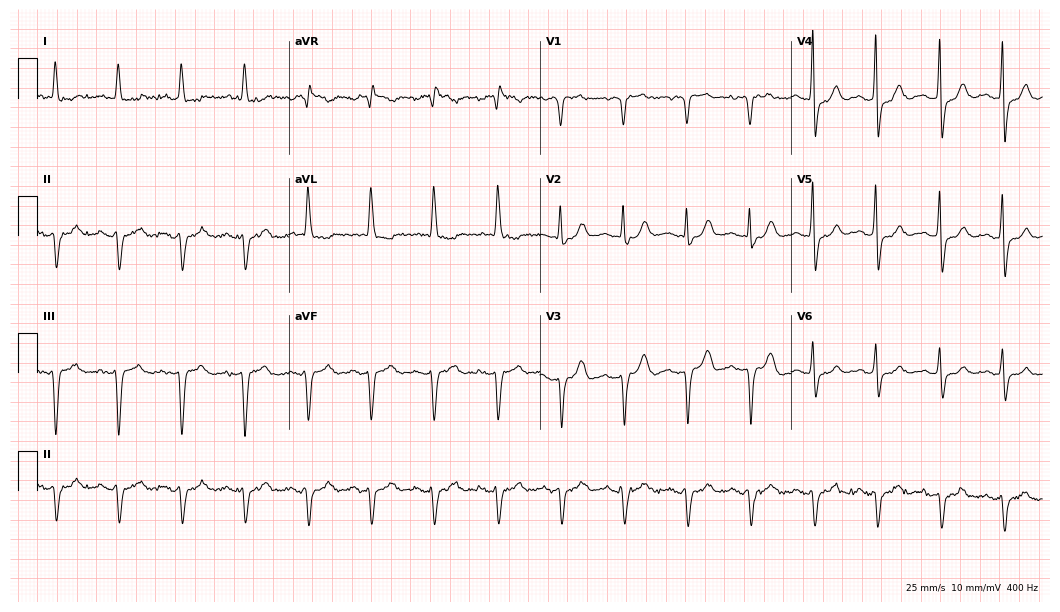
Standard 12-lead ECG recorded from an 84-year-old male patient. None of these six findings is recorded: first-degree AV block, right bundle branch block (RBBB), left bundle branch block (LBBB), sinus bradycardia, atrial fibrillation (AF), sinus tachycardia. Findings outside these six are not listed.